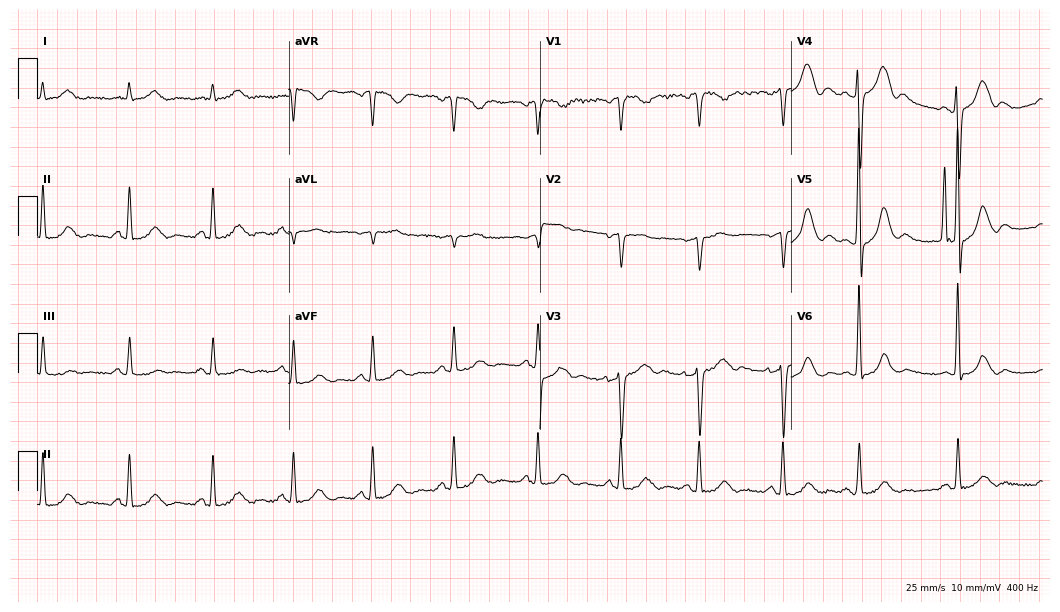
Standard 12-lead ECG recorded from a 75-year-old man (10.2-second recording at 400 Hz). None of these six findings is recorded: first-degree AV block, right bundle branch block, left bundle branch block, sinus bradycardia, atrial fibrillation, sinus tachycardia.